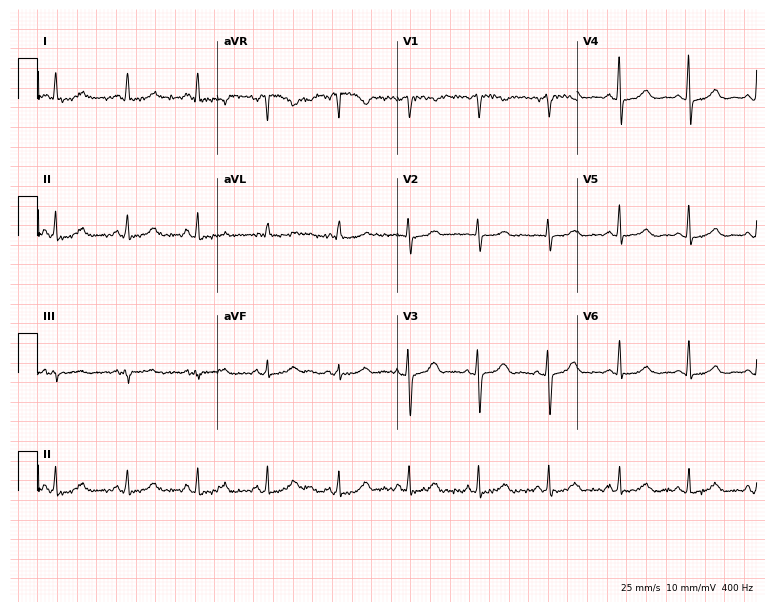
Standard 12-lead ECG recorded from a 48-year-old female. Read as a normal ECG.